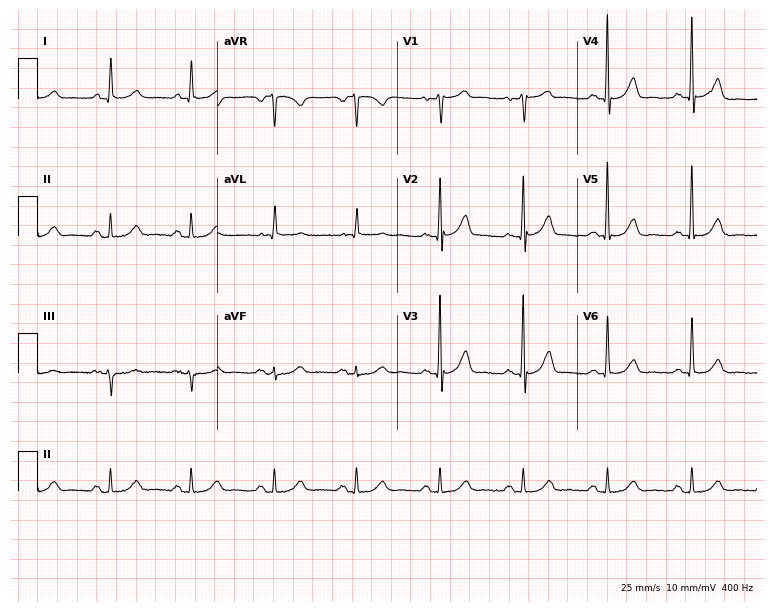
Standard 12-lead ECG recorded from a man, 84 years old (7.3-second recording at 400 Hz). Read as a normal ECG.